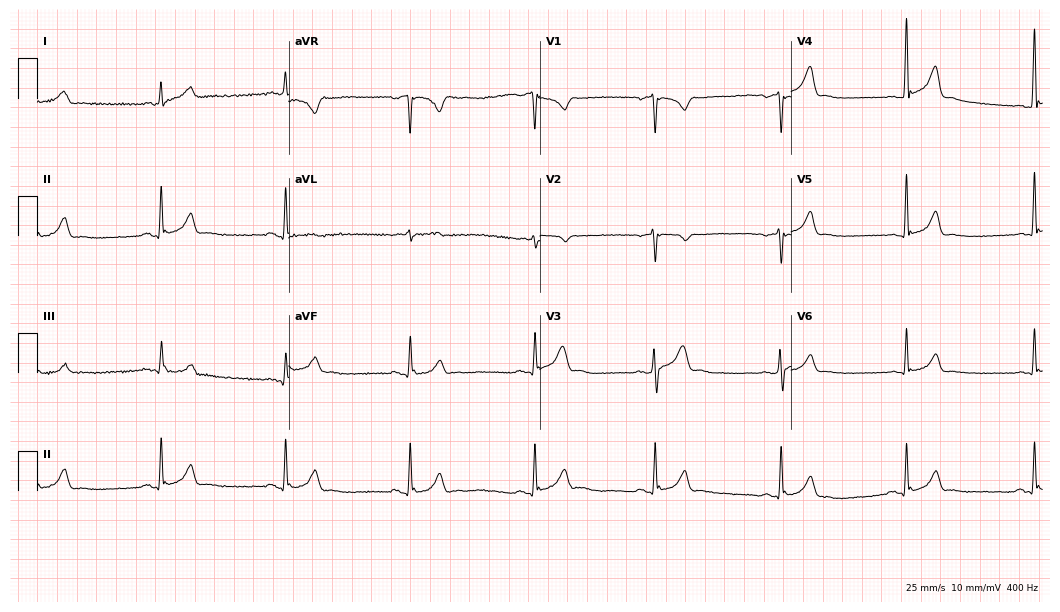
Resting 12-lead electrocardiogram. Patient: a 36-year-old male. The tracing shows sinus bradycardia (a sinus rate of 50 beats per minute or less).